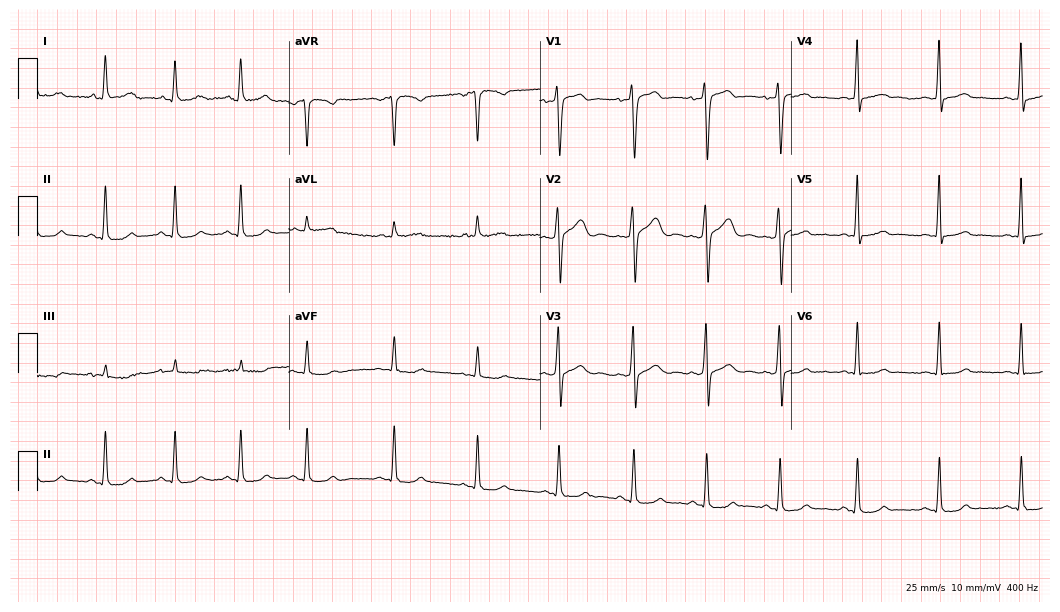
ECG (10.2-second recording at 400 Hz) — a female patient, 32 years old. Labelled as a normal ECG.